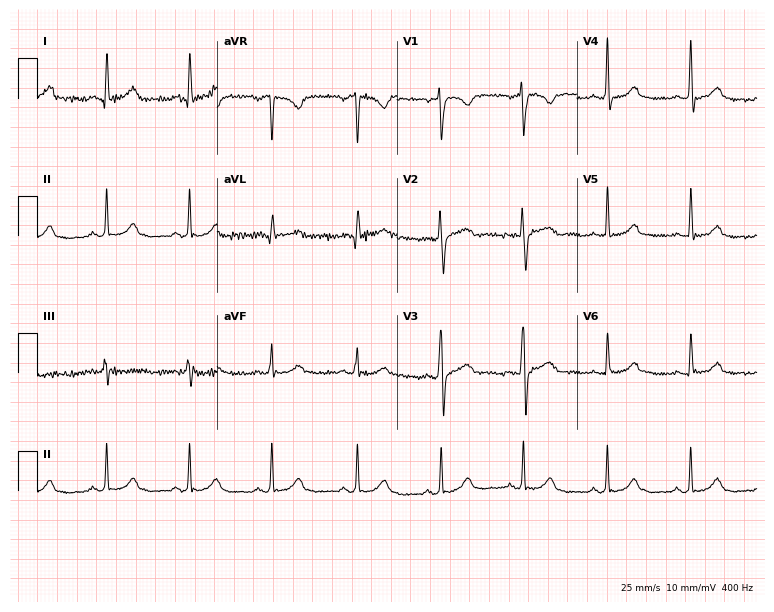
ECG — a female, 39 years old. Labelled as a normal ECG.